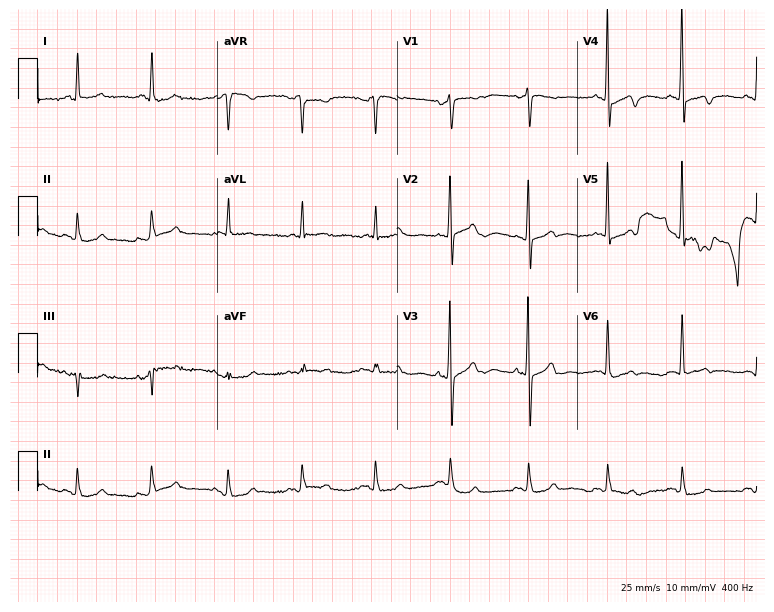
Standard 12-lead ECG recorded from a female patient, 85 years old. None of these six findings is recorded: first-degree AV block, right bundle branch block, left bundle branch block, sinus bradycardia, atrial fibrillation, sinus tachycardia.